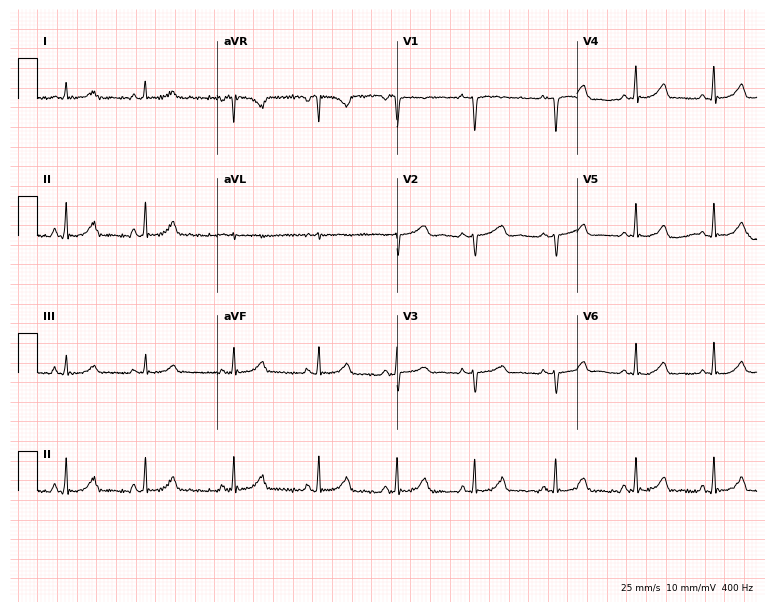
Resting 12-lead electrocardiogram. Patient: a 34-year-old female. Read as a normal ECG.